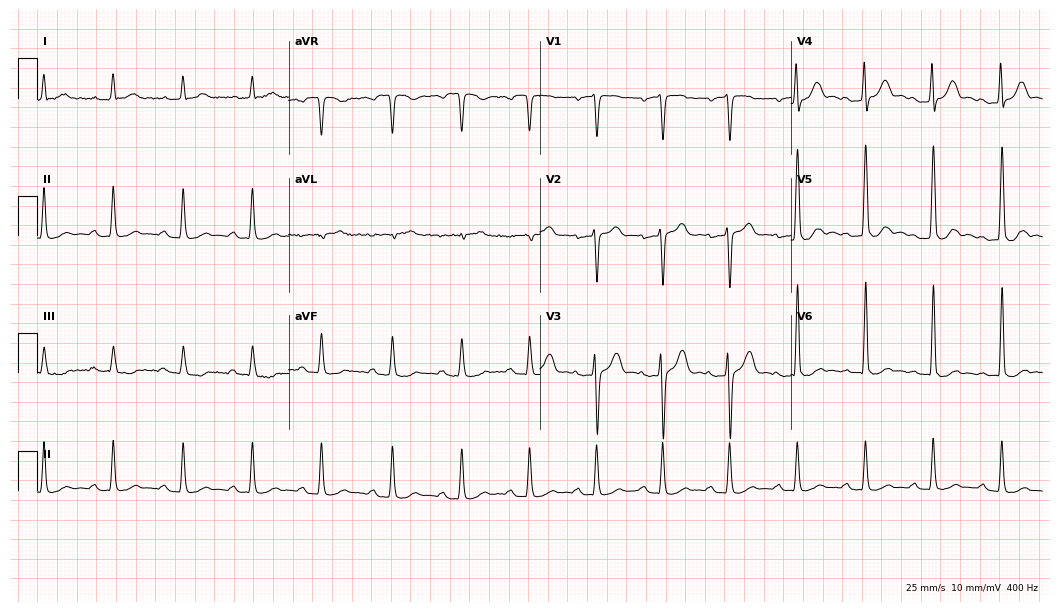
12-lead ECG from a man, 42 years old. Screened for six findings — first-degree AV block, right bundle branch block, left bundle branch block, sinus bradycardia, atrial fibrillation, sinus tachycardia — none is recorded. Other findings, if any, are not listed.